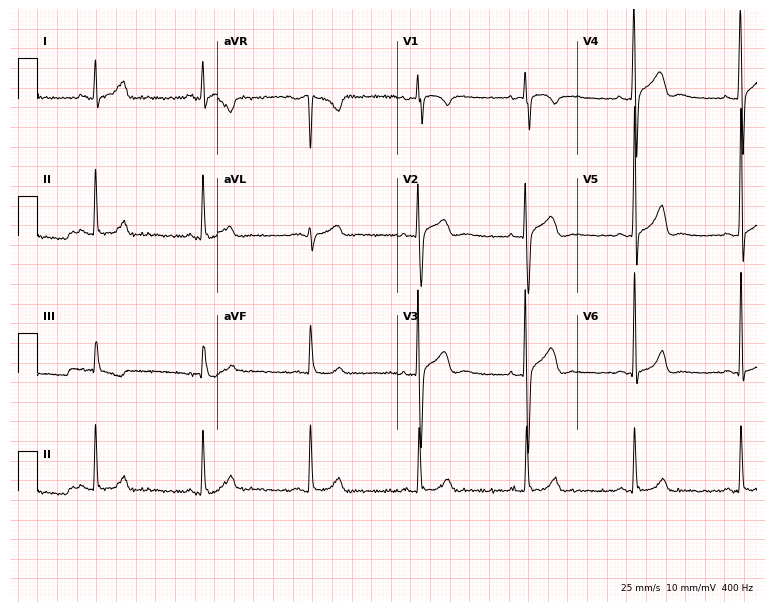
12-lead ECG from a 34-year-old male patient. Labelled as a normal ECG.